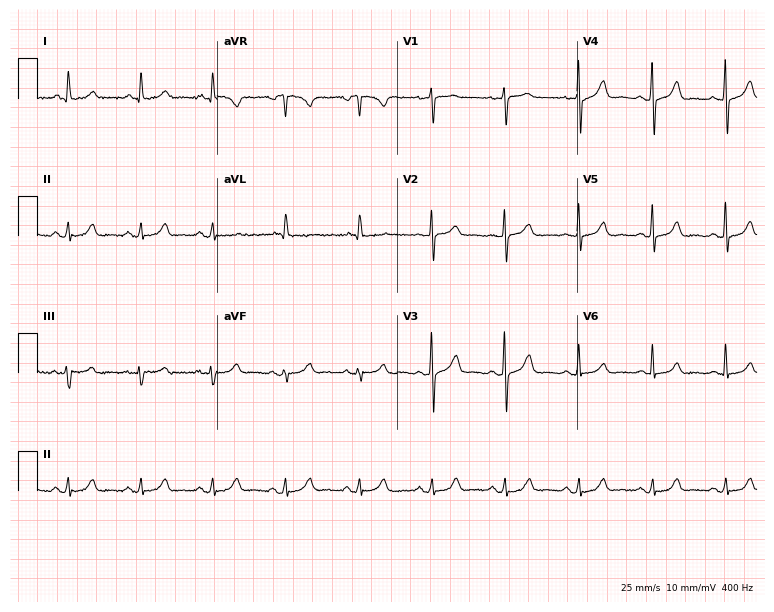
12-lead ECG from a 66-year-old female patient (7.3-second recording at 400 Hz). Recorded interpretation: within normal limits.